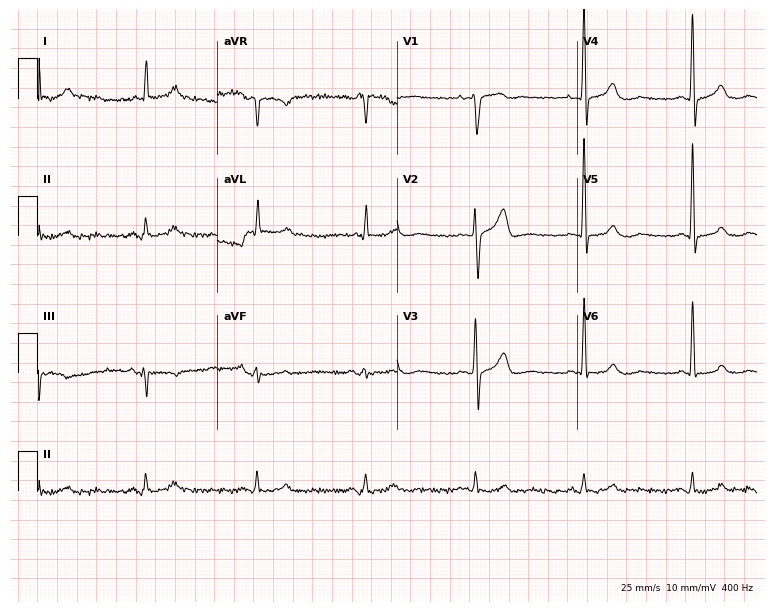
ECG (7.3-second recording at 400 Hz) — a male patient, 65 years old. Screened for six findings — first-degree AV block, right bundle branch block, left bundle branch block, sinus bradycardia, atrial fibrillation, sinus tachycardia — none is recorded. Findings outside these six are not listed.